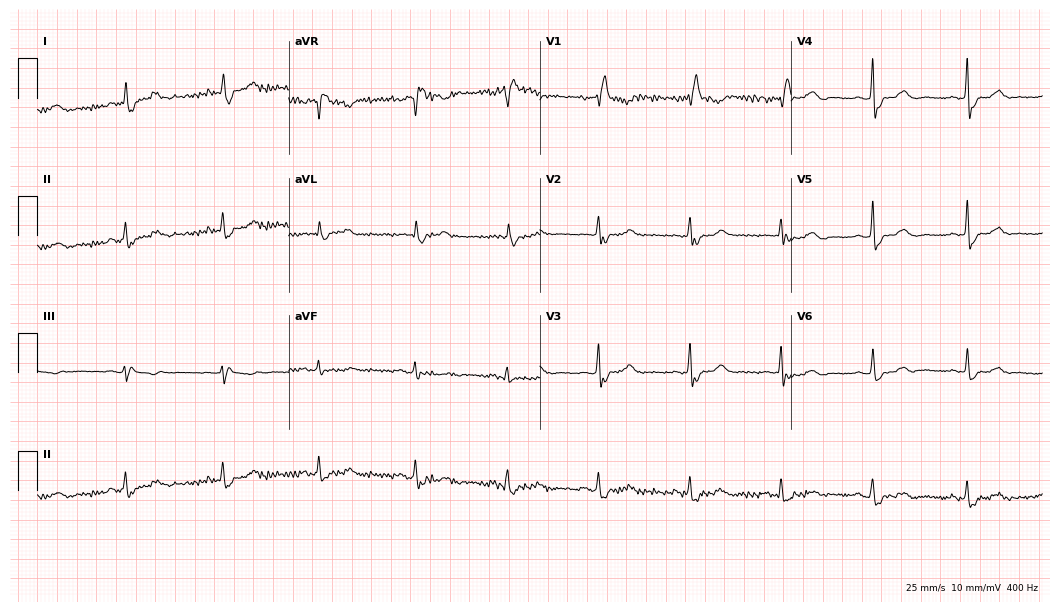
Standard 12-lead ECG recorded from a 75-year-old woman (10.2-second recording at 400 Hz). The tracing shows right bundle branch block.